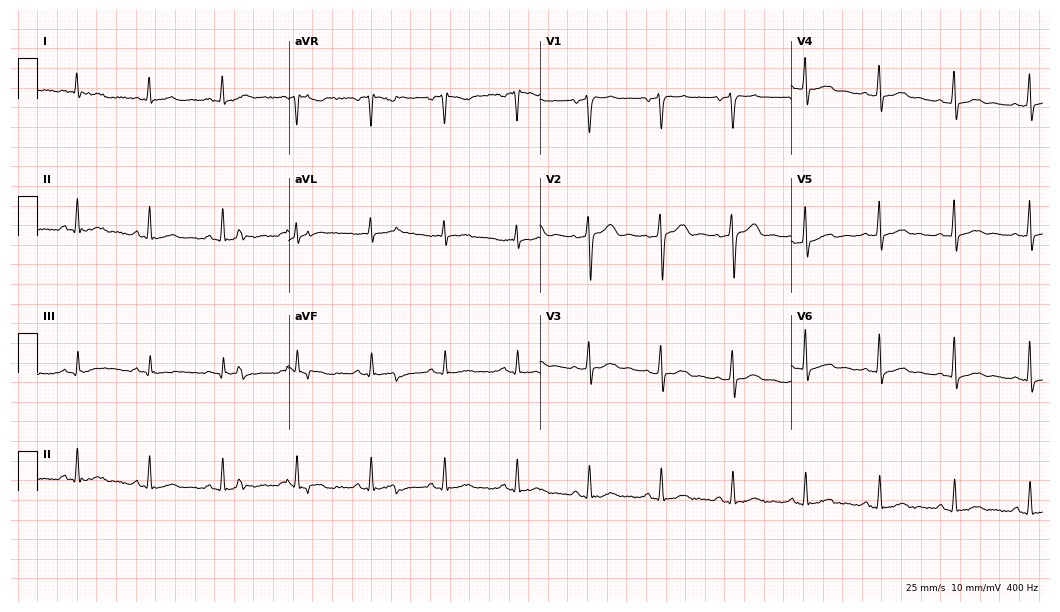
ECG — a 45-year-old female. Screened for six findings — first-degree AV block, right bundle branch block, left bundle branch block, sinus bradycardia, atrial fibrillation, sinus tachycardia — none is recorded. Other findings, if any, are not listed.